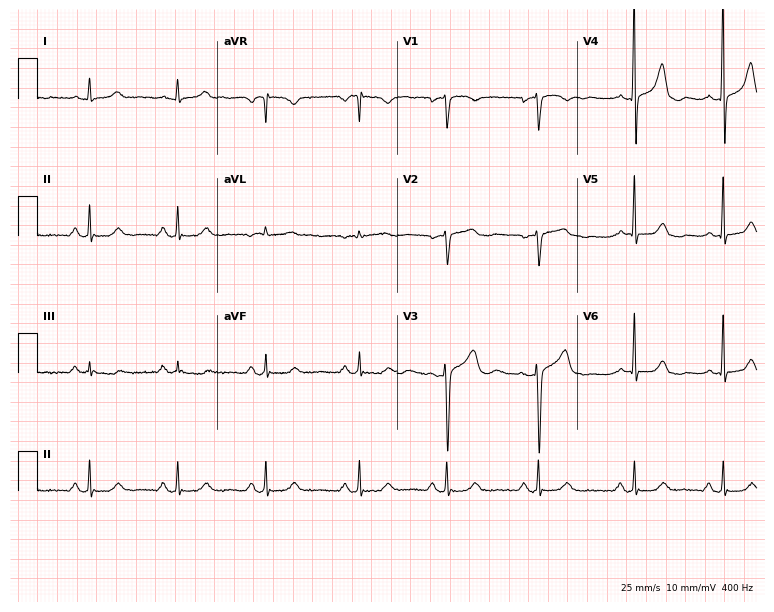
12-lead ECG (7.3-second recording at 400 Hz) from a female, 56 years old. Screened for six findings — first-degree AV block, right bundle branch block (RBBB), left bundle branch block (LBBB), sinus bradycardia, atrial fibrillation (AF), sinus tachycardia — none is recorded. Other findings, if any, are not listed.